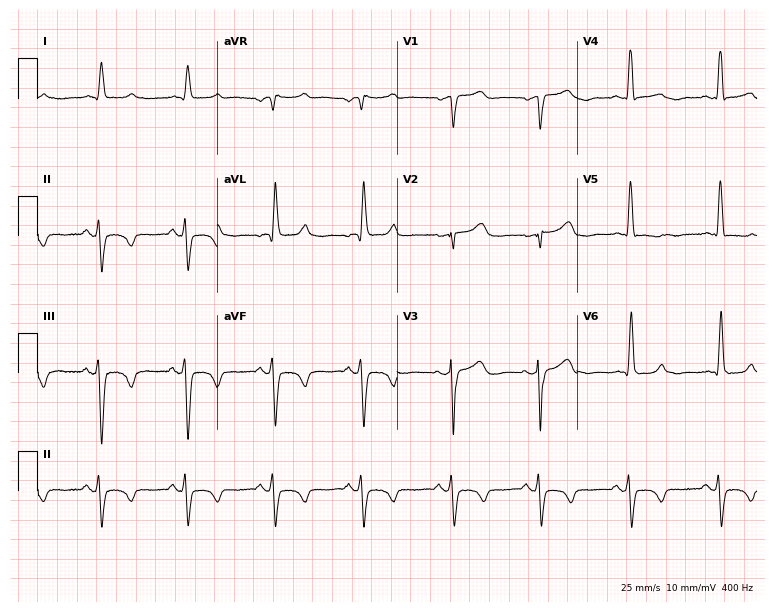
12-lead ECG from a female, 83 years old. Findings include left bundle branch block (LBBB).